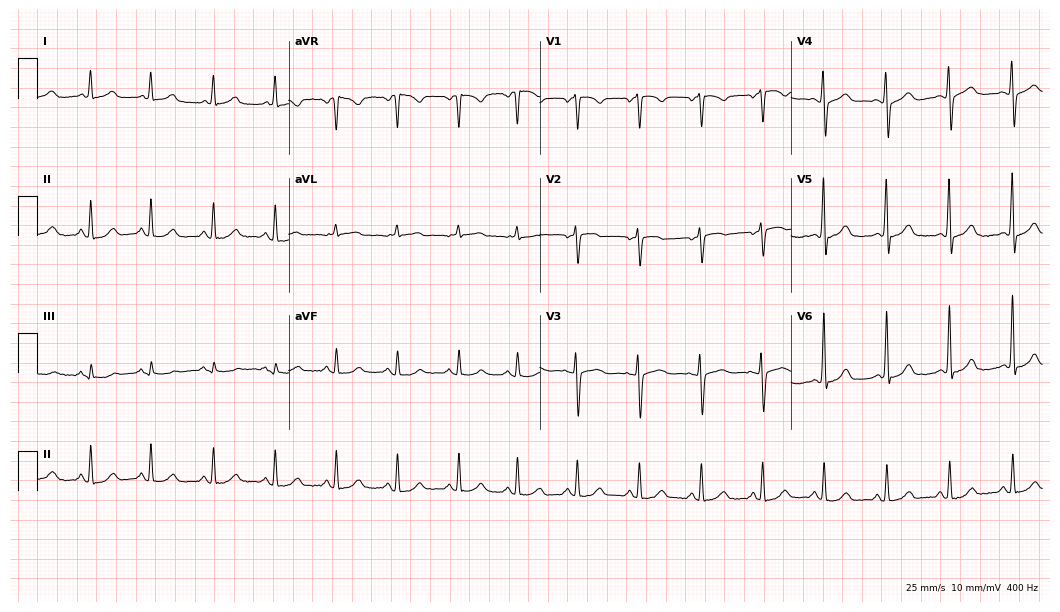
Electrocardiogram, a female patient, 61 years old. Overall reading on record: normal ECG.